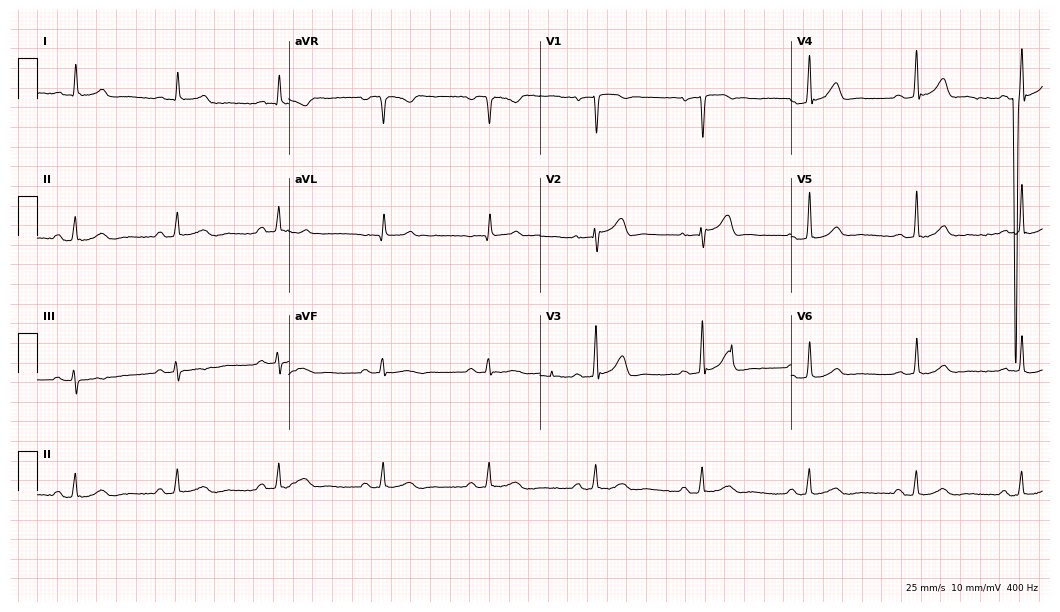
Standard 12-lead ECG recorded from a 66-year-old man. Read as a normal ECG.